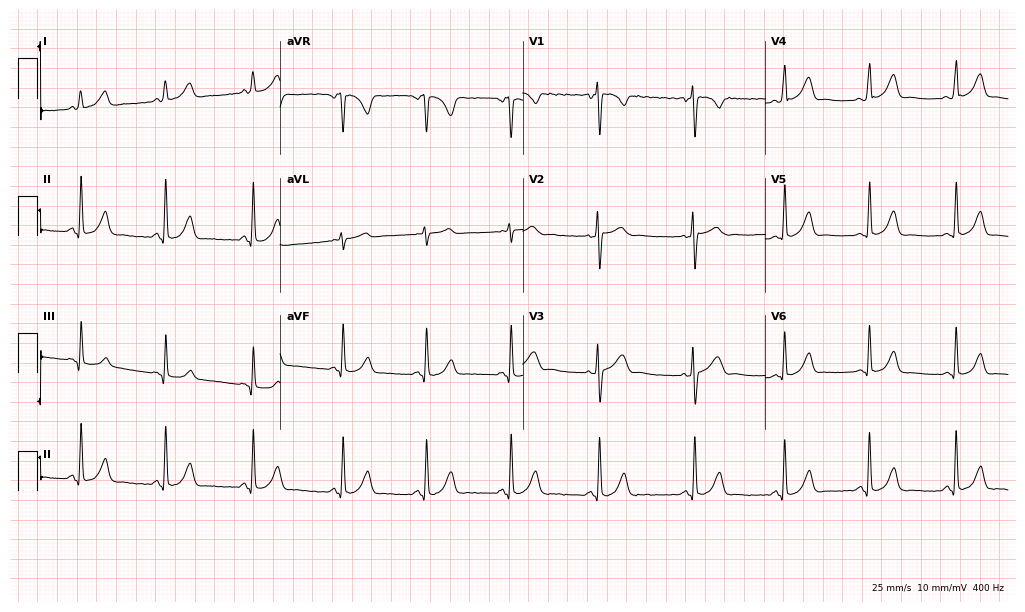
12-lead ECG from a female patient, 32 years old. Recorded interpretation: within normal limits.